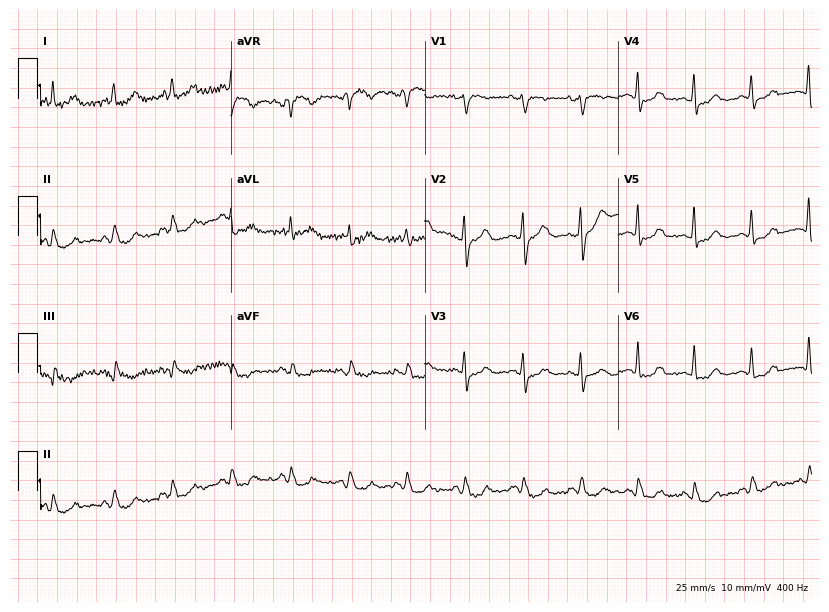
ECG — a female patient, 82 years old. Screened for six findings — first-degree AV block, right bundle branch block, left bundle branch block, sinus bradycardia, atrial fibrillation, sinus tachycardia — none is recorded. Findings outside these six are not listed.